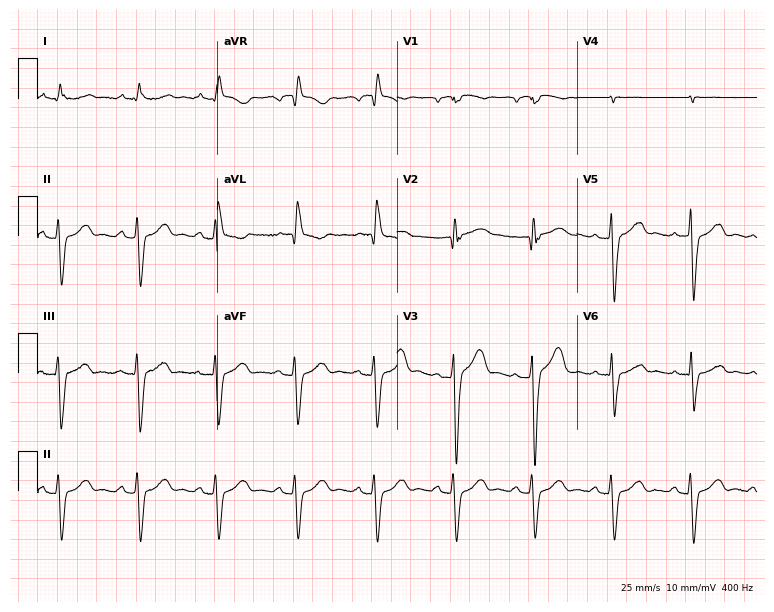
Electrocardiogram, a man, 66 years old. Of the six screened findings (first-degree AV block, right bundle branch block (RBBB), left bundle branch block (LBBB), sinus bradycardia, atrial fibrillation (AF), sinus tachycardia), none is recorded.